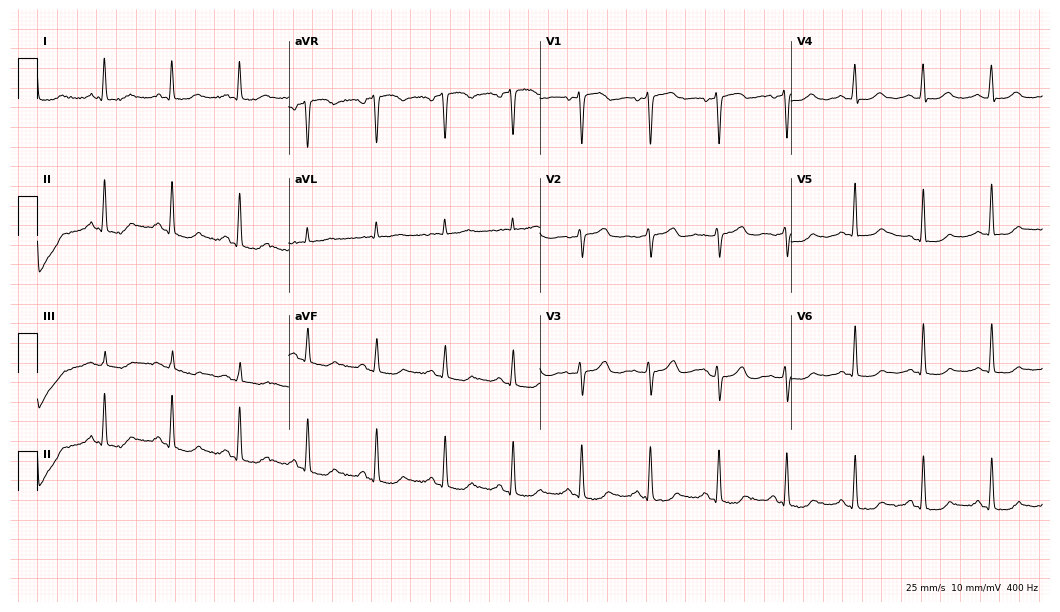
Standard 12-lead ECG recorded from a 62-year-old woman. None of these six findings is recorded: first-degree AV block, right bundle branch block, left bundle branch block, sinus bradycardia, atrial fibrillation, sinus tachycardia.